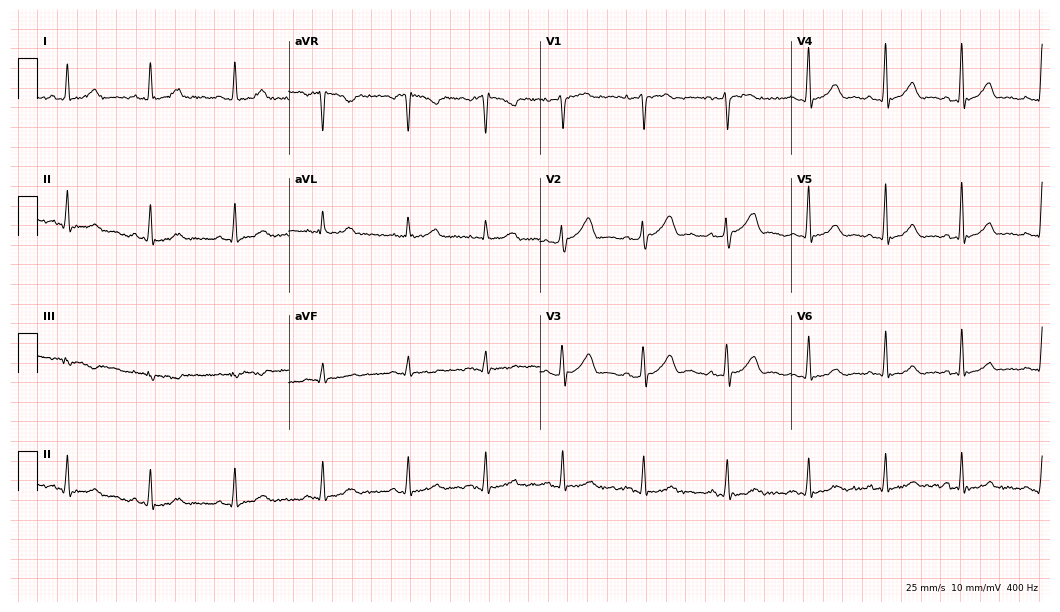
Electrocardiogram (10.2-second recording at 400 Hz), a 36-year-old female. Overall reading on record: normal ECG.